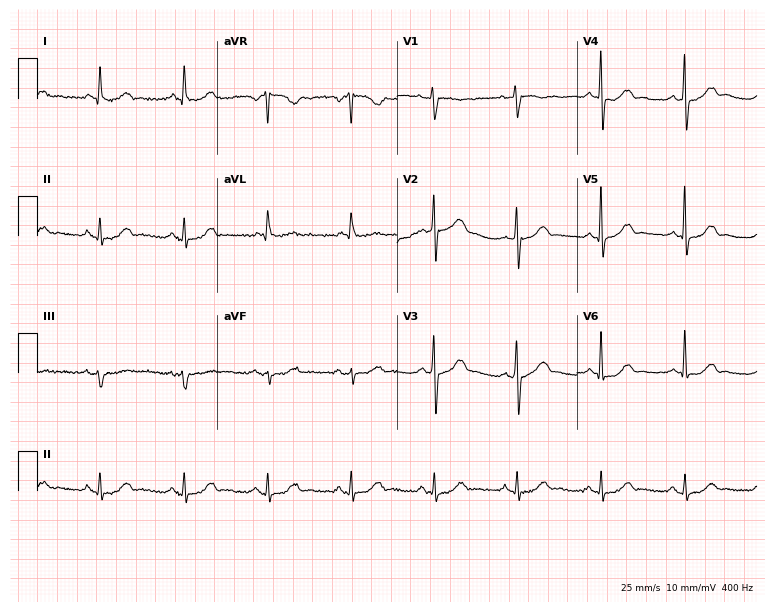
Standard 12-lead ECG recorded from a 79-year-old male. Read as a normal ECG.